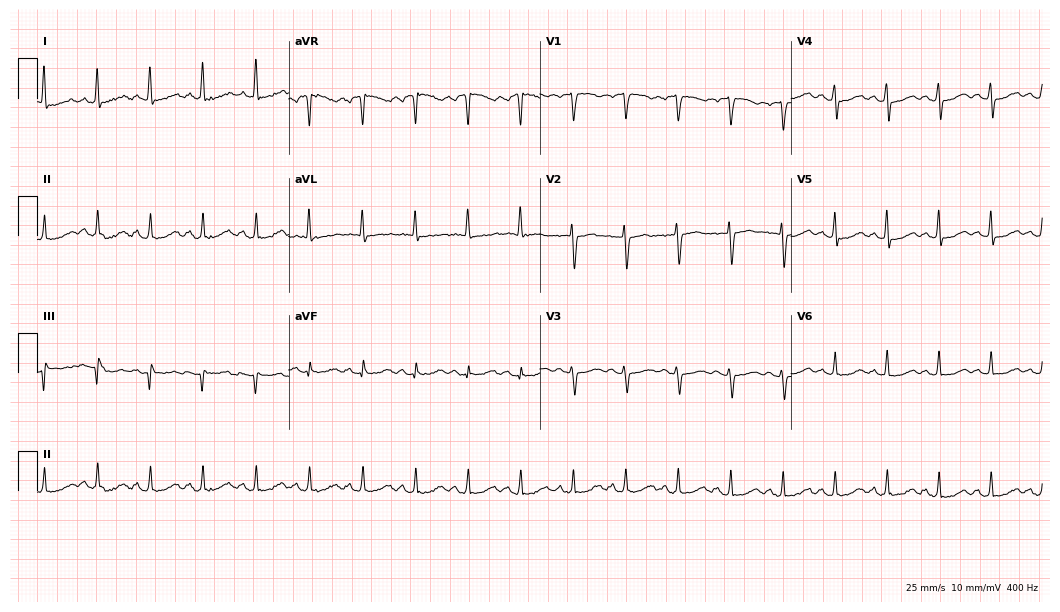
12-lead ECG from a female patient, 64 years old (10.2-second recording at 400 Hz). Shows sinus tachycardia (a sinus rate of 100 beats per minute or more).